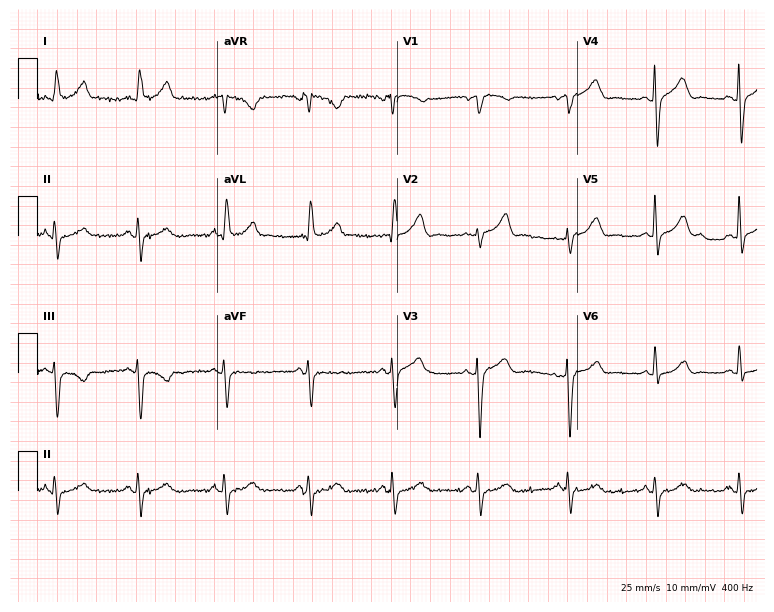
12-lead ECG (7.3-second recording at 400 Hz) from a female patient, 82 years old. Screened for six findings — first-degree AV block, right bundle branch block, left bundle branch block, sinus bradycardia, atrial fibrillation, sinus tachycardia — none is recorded.